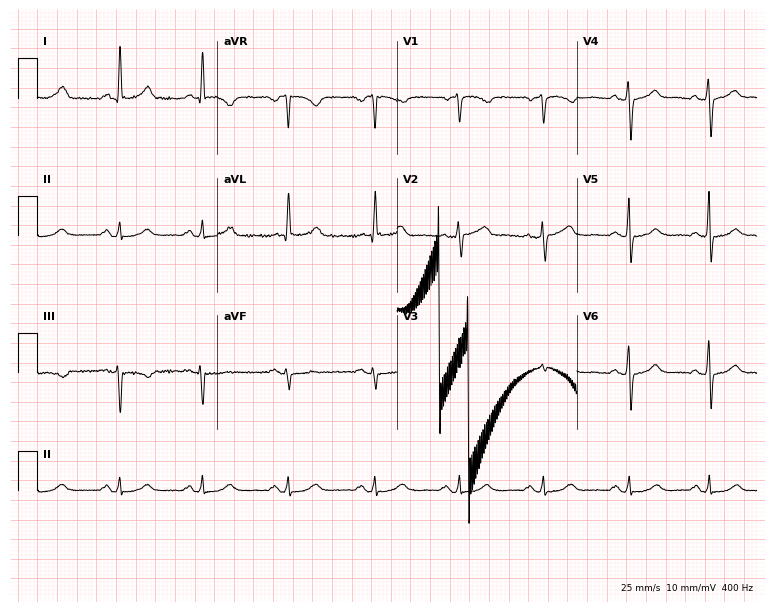
12-lead ECG from a female patient, 65 years old (7.3-second recording at 400 Hz). No first-degree AV block, right bundle branch block, left bundle branch block, sinus bradycardia, atrial fibrillation or sinus tachycardia recorded for this tracing. Only these six findings were labelled.